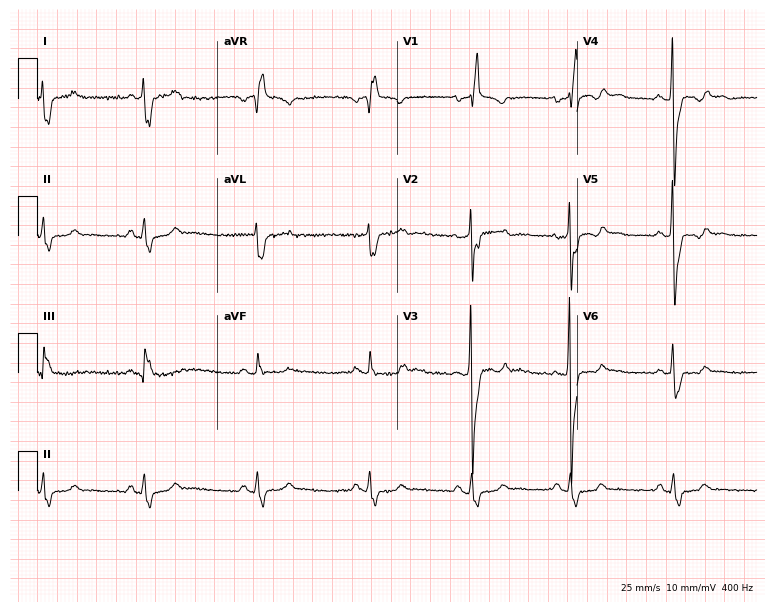
12-lead ECG from a male, 51 years old. Findings include right bundle branch block.